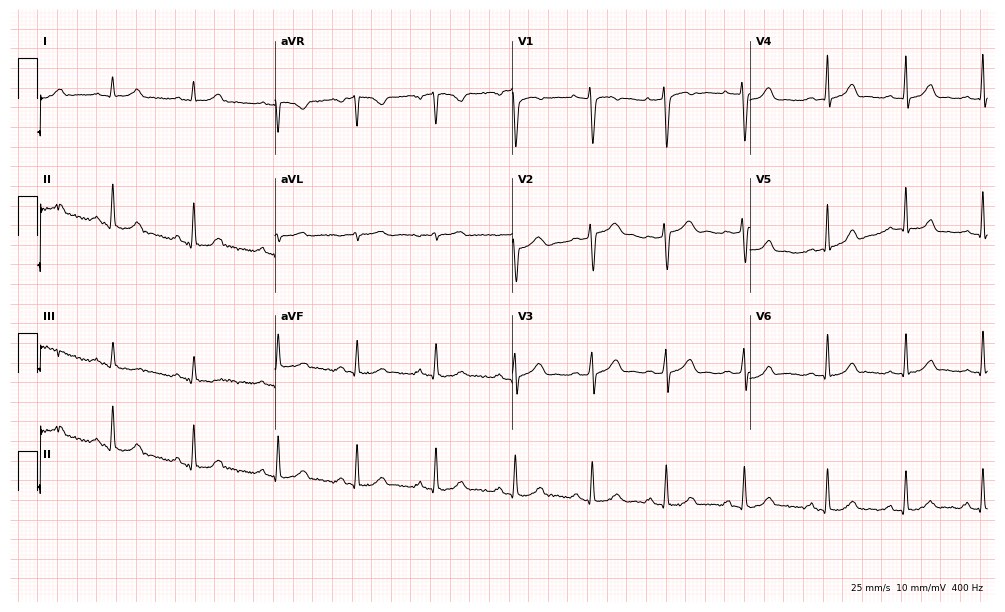
12-lead ECG from a 23-year-old woman (9.7-second recording at 400 Hz). Recorded interpretation: within normal limits.